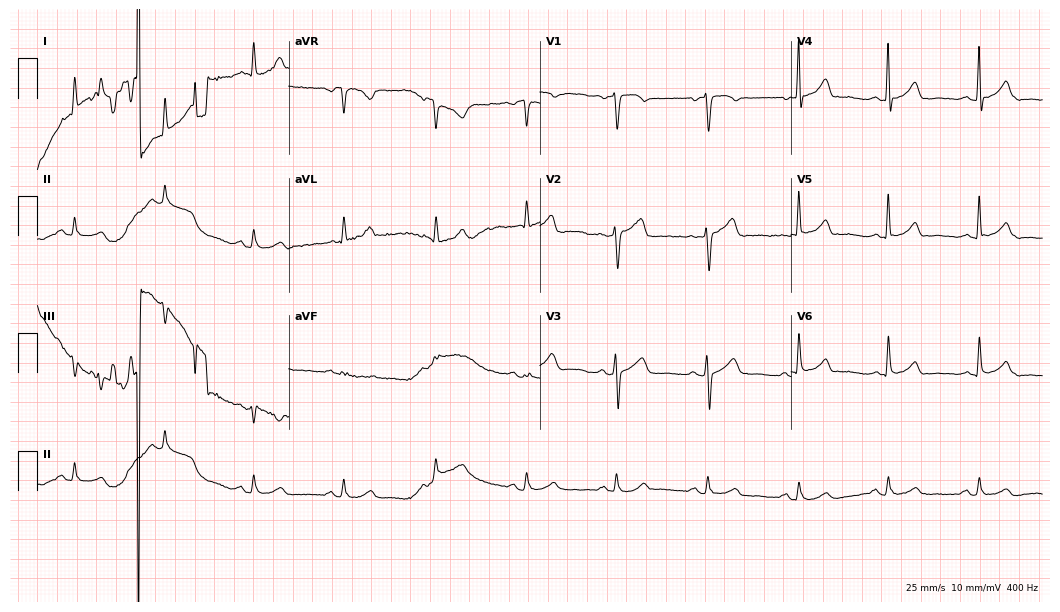
Electrocardiogram, a female patient, 63 years old. Of the six screened findings (first-degree AV block, right bundle branch block, left bundle branch block, sinus bradycardia, atrial fibrillation, sinus tachycardia), none is recorded.